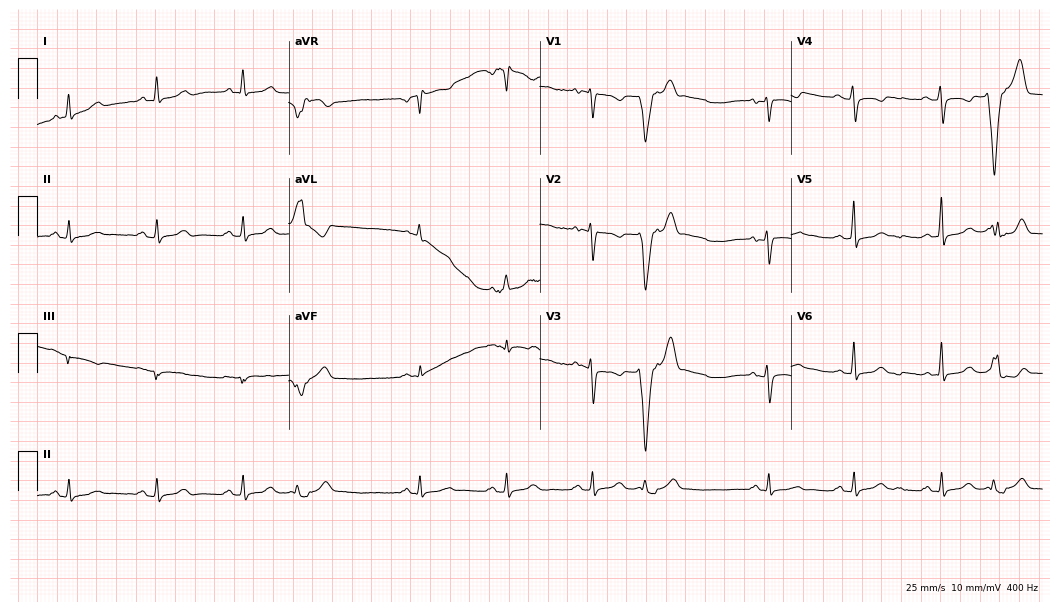
Resting 12-lead electrocardiogram (10.2-second recording at 400 Hz). Patient: a 46-year-old female. None of these six findings is recorded: first-degree AV block, right bundle branch block, left bundle branch block, sinus bradycardia, atrial fibrillation, sinus tachycardia.